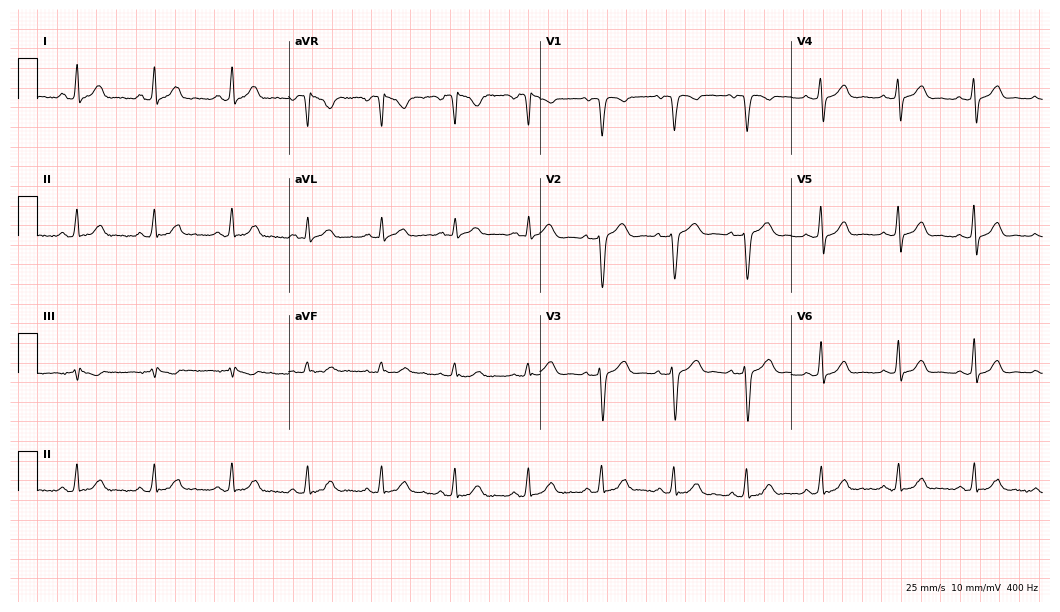
Resting 12-lead electrocardiogram. Patient: a female, 38 years old. None of these six findings is recorded: first-degree AV block, right bundle branch block, left bundle branch block, sinus bradycardia, atrial fibrillation, sinus tachycardia. Only these six findings were labelled.